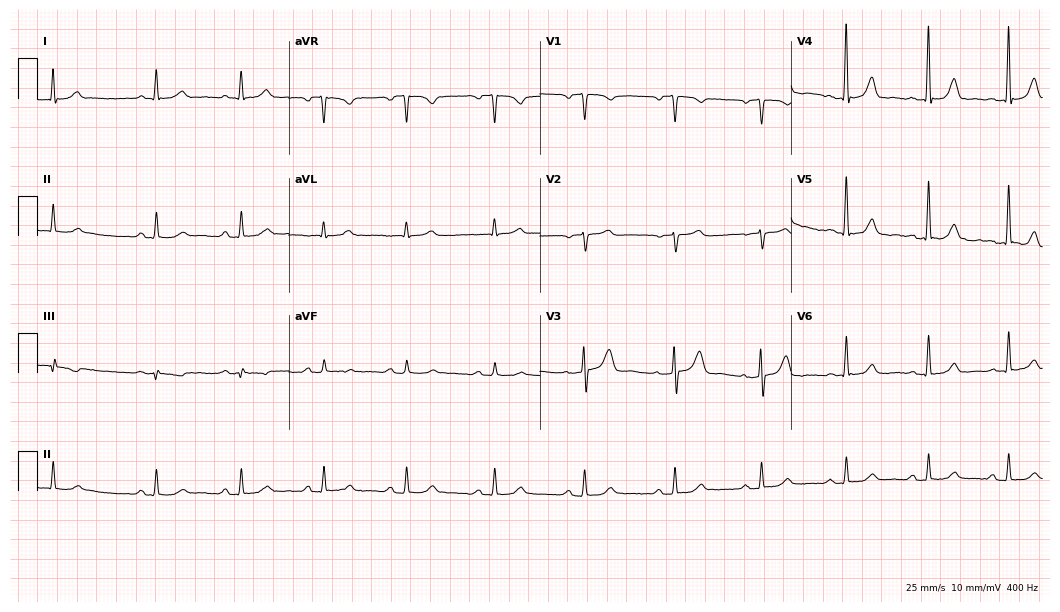
ECG (10.2-second recording at 400 Hz) — a male patient, 60 years old. Screened for six findings — first-degree AV block, right bundle branch block, left bundle branch block, sinus bradycardia, atrial fibrillation, sinus tachycardia — none is recorded.